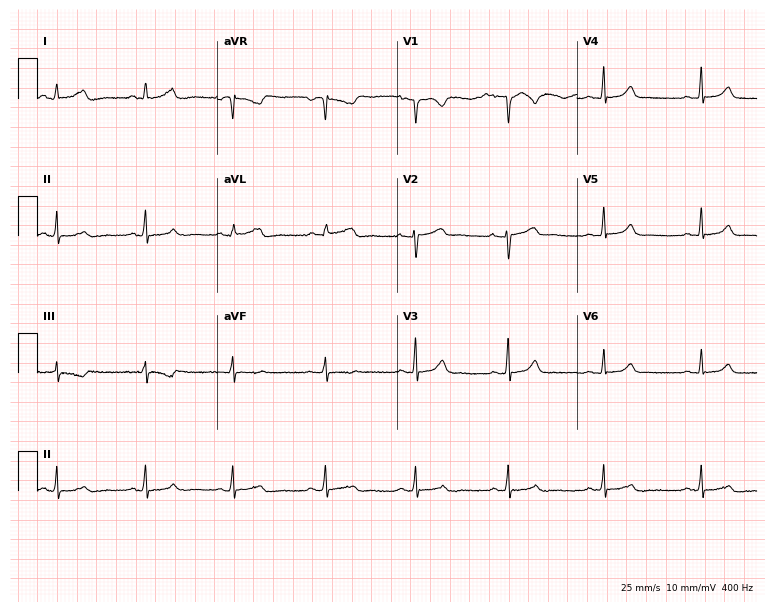
12-lead ECG from a female patient, 34 years old (7.3-second recording at 400 Hz). Recorded interpretation: within normal limits.